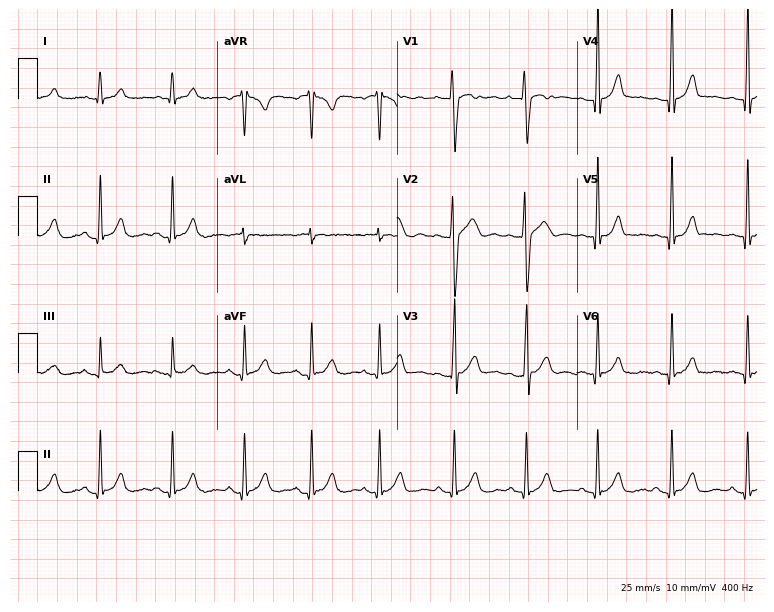
Electrocardiogram (7.3-second recording at 400 Hz), an 18-year-old male patient. Of the six screened findings (first-degree AV block, right bundle branch block, left bundle branch block, sinus bradycardia, atrial fibrillation, sinus tachycardia), none is recorded. Only these six findings were labelled.